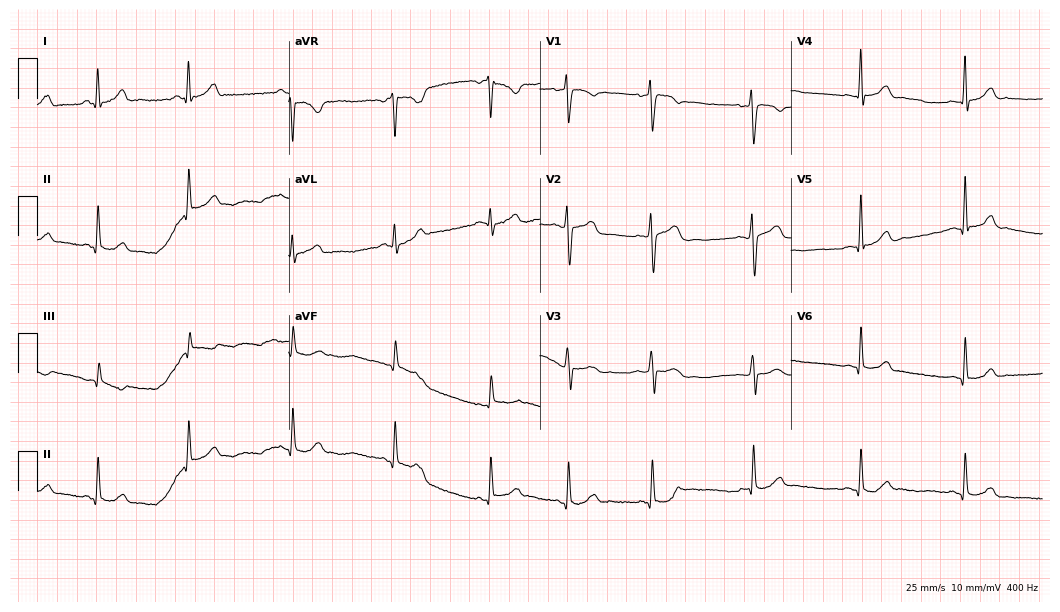
Resting 12-lead electrocardiogram (10.2-second recording at 400 Hz). Patient: a 26-year-old female. Read as a normal ECG.